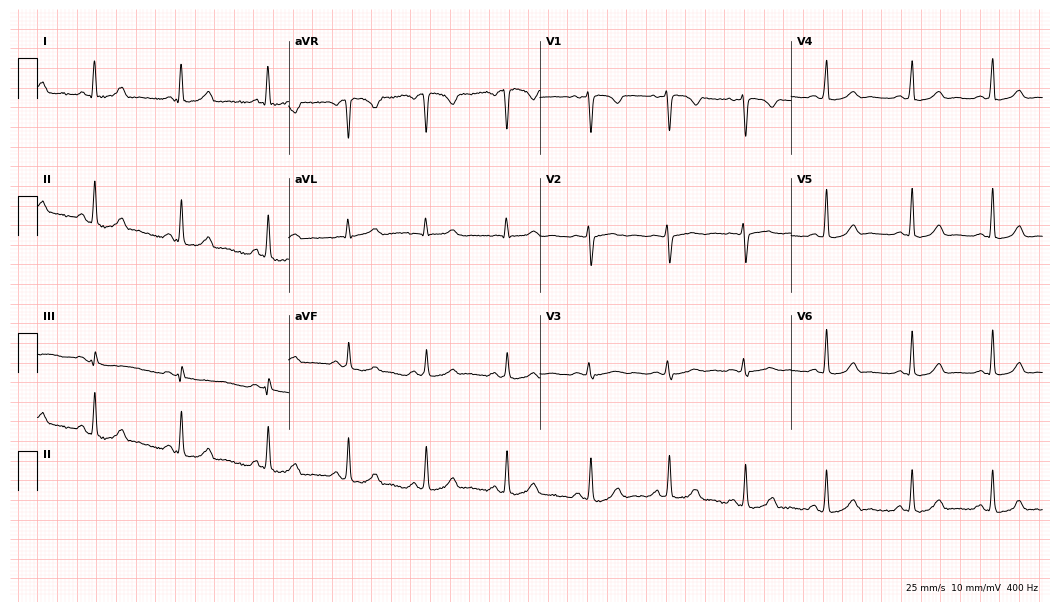
12-lead ECG from a female patient, 33 years old. Labelled as a normal ECG.